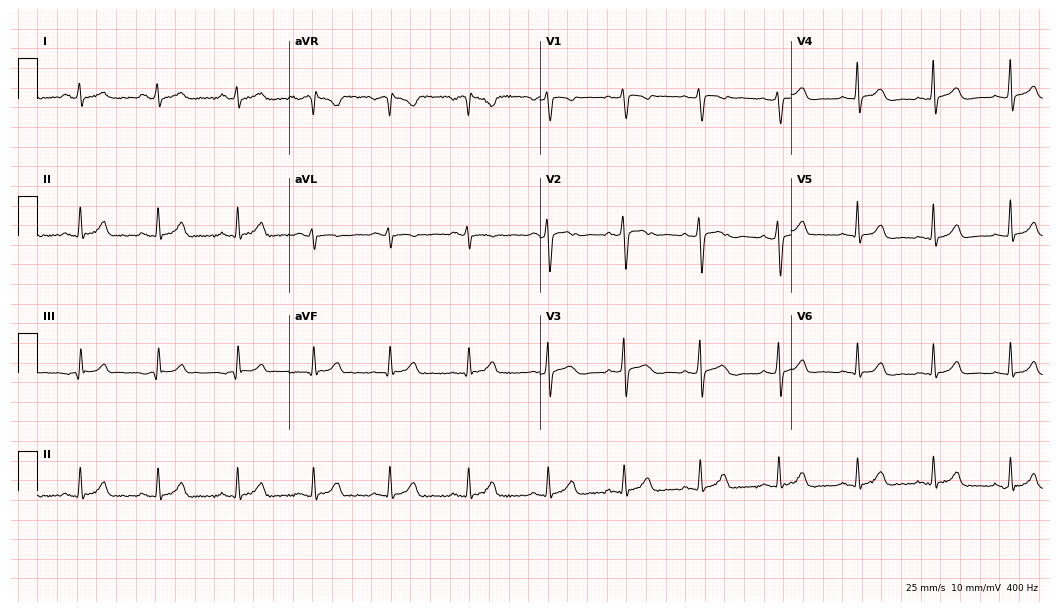
12-lead ECG from a 27-year-old female. No first-degree AV block, right bundle branch block (RBBB), left bundle branch block (LBBB), sinus bradycardia, atrial fibrillation (AF) or sinus tachycardia recorded for this tracing. Findings outside these six are not listed.